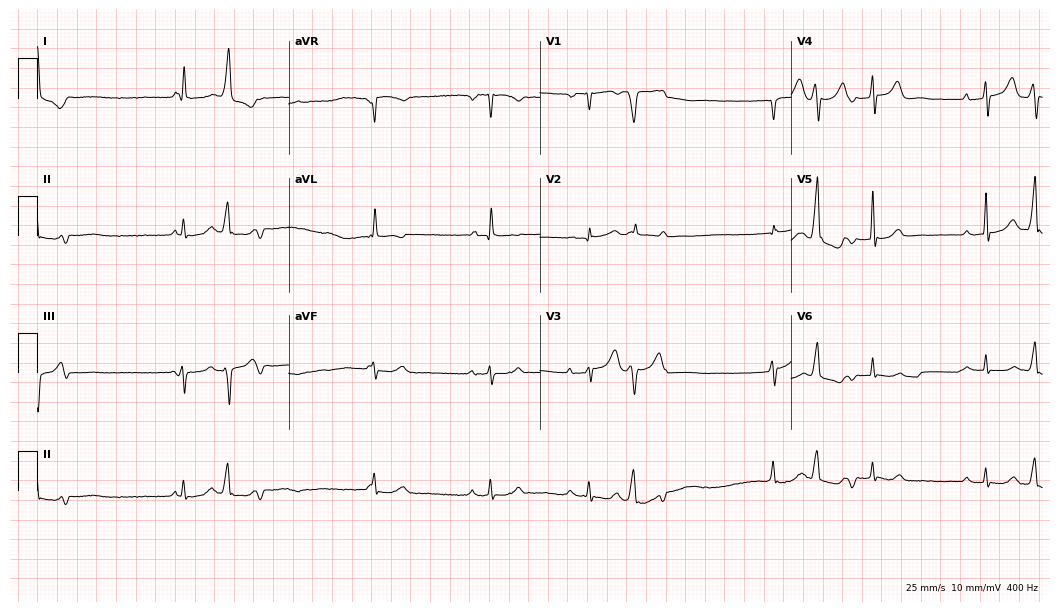
Standard 12-lead ECG recorded from an 82-year-old man (10.2-second recording at 400 Hz). None of these six findings is recorded: first-degree AV block, right bundle branch block (RBBB), left bundle branch block (LBBB), sinus bradycardia, atrial fibrillation (AF), sinus tachycardia.